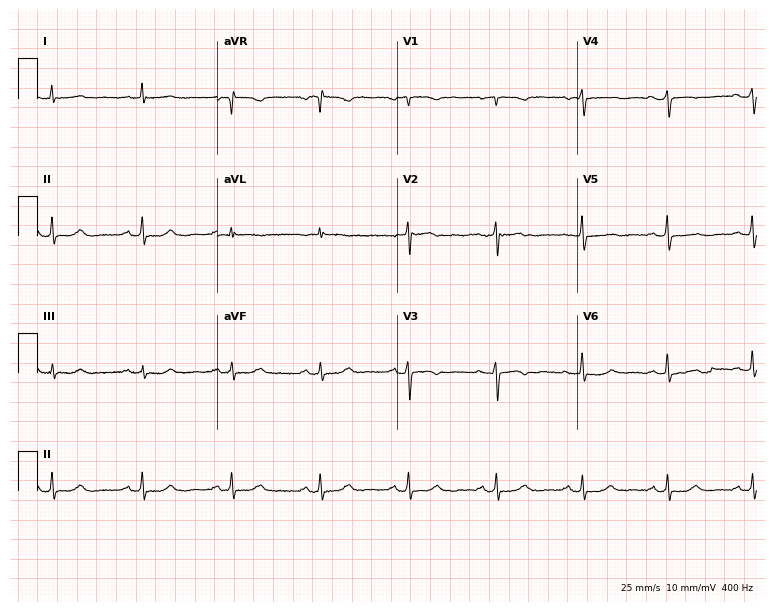
ECG (7.3-second recording at 400 Hz) — a female patient, 70 years old. Screened for six findings — first-degree AV block, right bundle branch block, left bundle branch block, sinus bradycardia, atrial fibrillation, sinus tachycardia — none is recorded. Other findings, if any, are not listed.